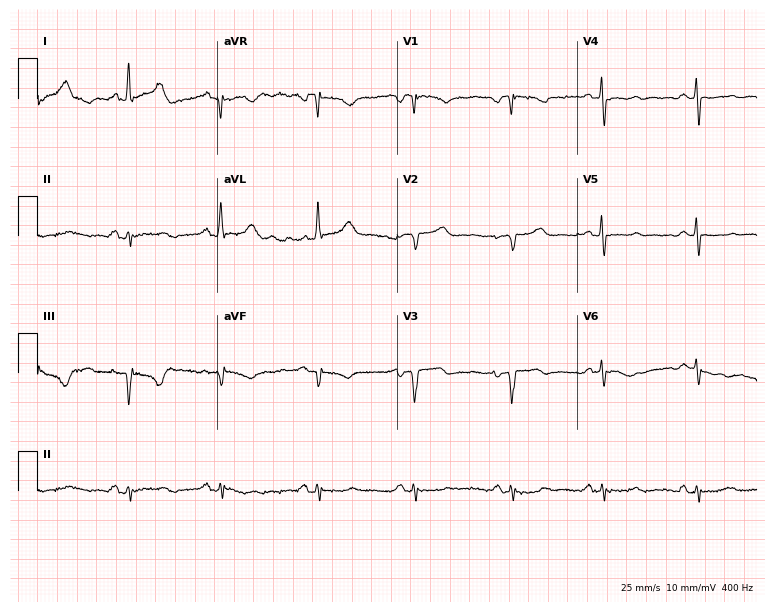
12-lead ECG from a female, 84 years old. Screened for six findings — first-degree AV block, right bundle branch block, left bundle branch block, sinus bradycardia, atrial fibrillation, sinus tachycardia — none is recorded. Only these six findings were labelled.